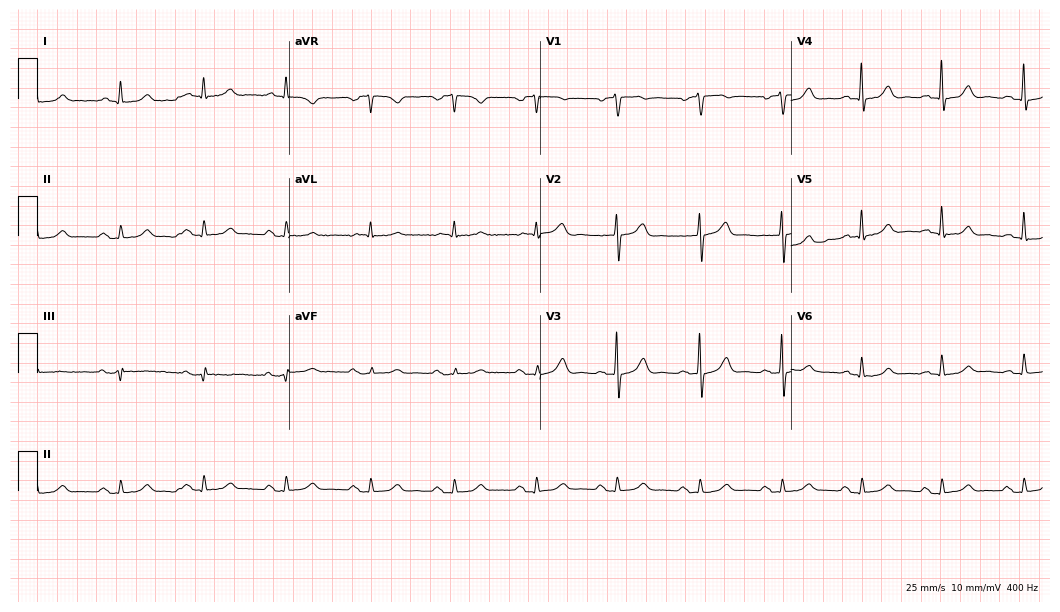
12-lead ECG (10.2-second recording at 400 Hz) from a 70-year-old man. Labelled as a normal ECG.